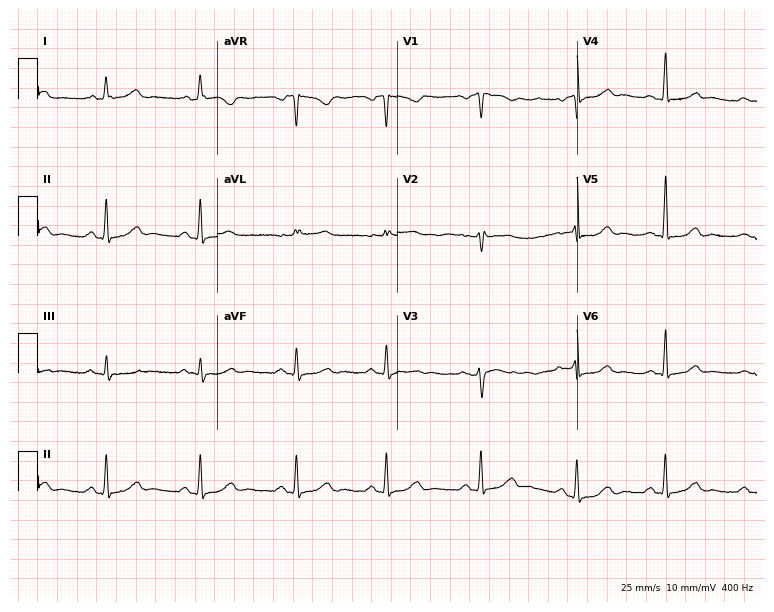
Electrocardiogram, a 38-year-old female patient. Overall reading on record: normal ECG.